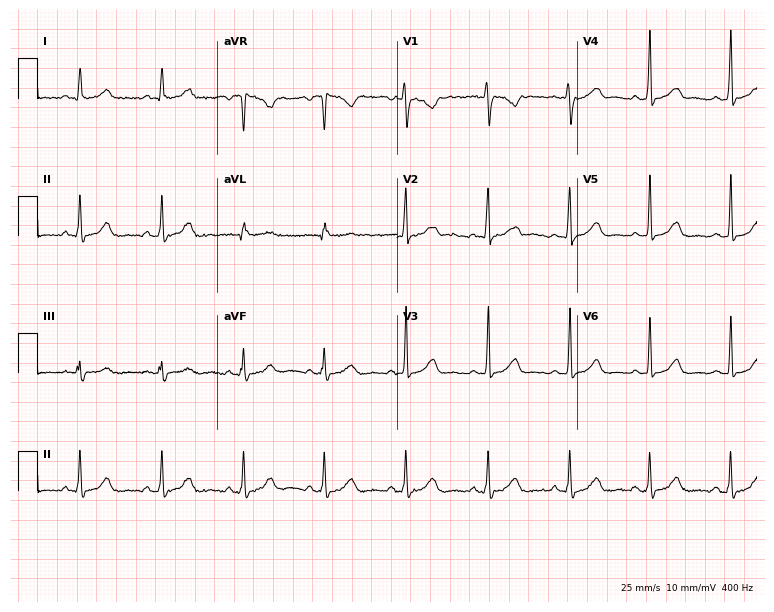
Resting 12-lead electrocardiogram. Patient: a 35-year-old woman. Read as a normal ECG.